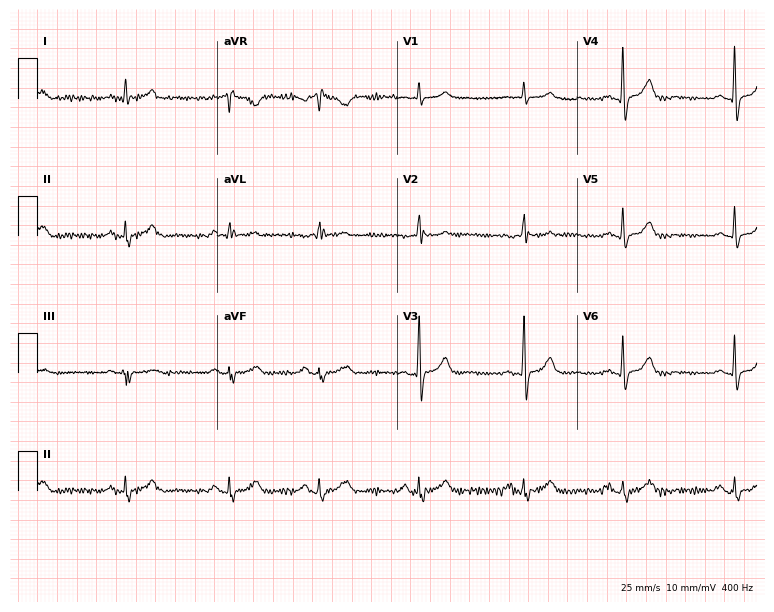
ECG (7.3-second recording at 400 Hz) — a 53-year-old male. Labelled as a normal ECG.